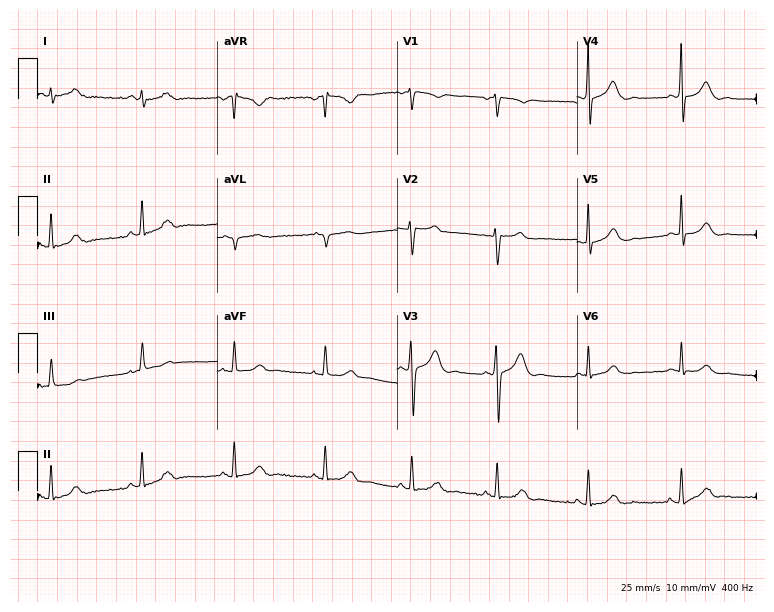
Standard 12-lead ECG recorded from a woman, 29 years old (7.3-second recording at 400 Hz). None of these six findings is recorded: first-degree AV block, right bundle branch block, left bundle branch block, sinus bradycardia, atrial fibrillation, sinus tachycardia.